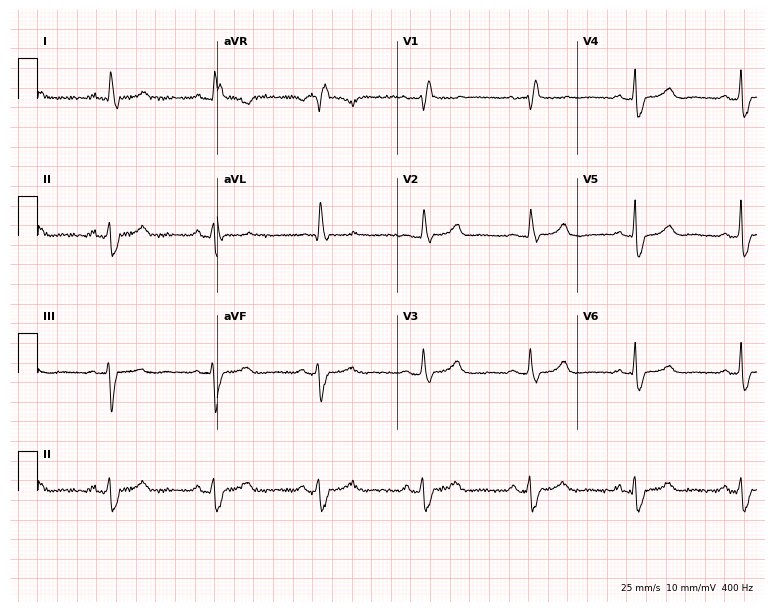
Standard 12-lead ECG recorded from a female patient, 60 years old. The tracing shows right bundle branch block.